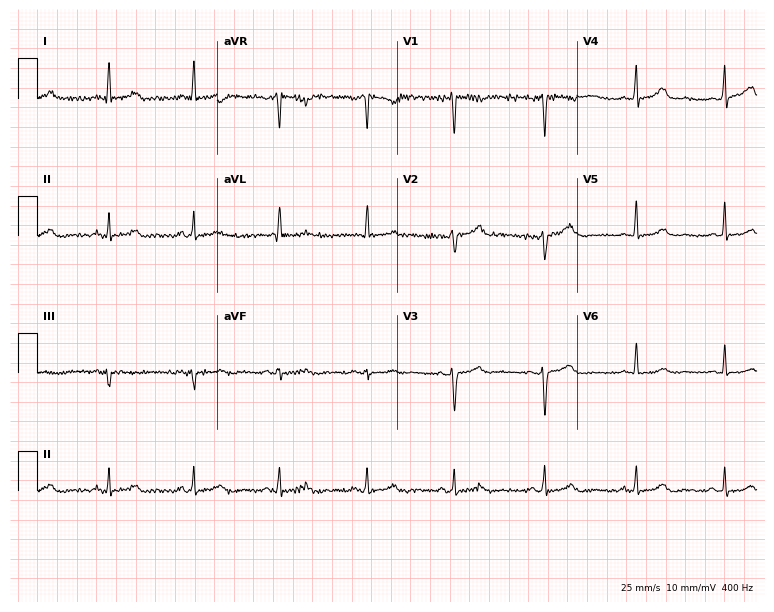
Electrocardiogram (7.3-second recording at 400 Hz), a 61-year-old female. Of the six screened findings (first-degree AV block, right bundle branch block, left bundle branch block, sinus bradycardia, atrial fibrillation, sinus tachycardia), none is recorded.